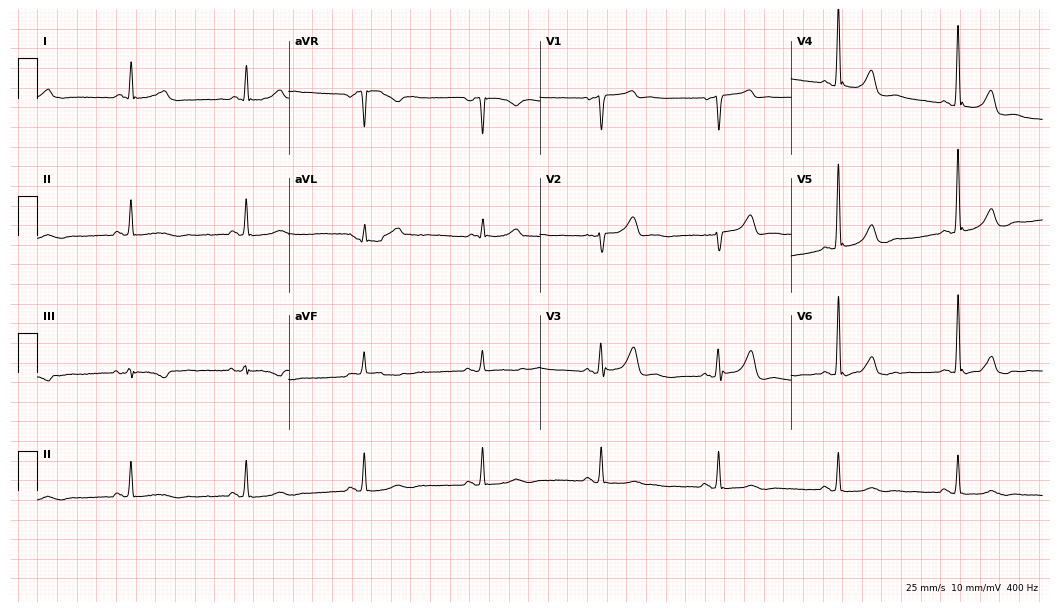
Resting 12-lead electrocardiogram. Patient: a 74-year-old male. Read as a normal ECG.